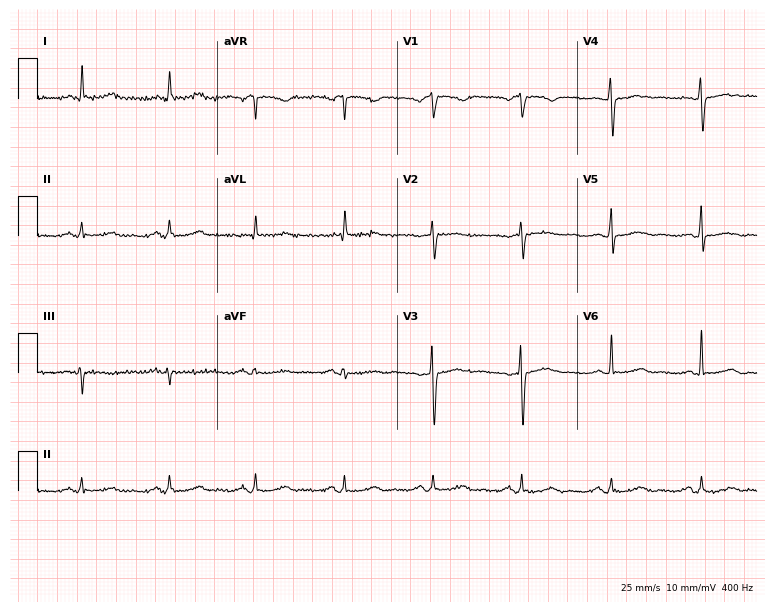
Resting 12-lead electrocardiogram (7.3-second recording at 400 Hz). Patient: a female, 76 years old. Read as a normal ECG.